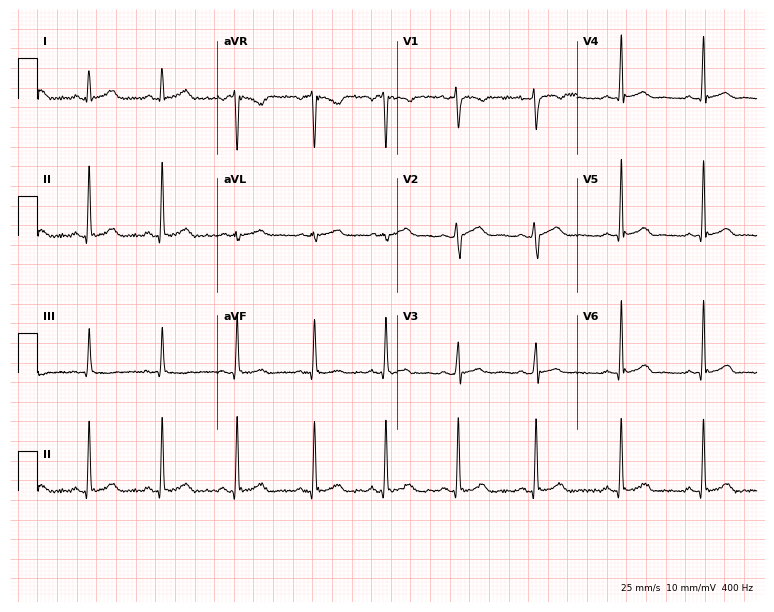
12-lead ECG from a female patient, 27 years old. Labelled as a normal ECG.